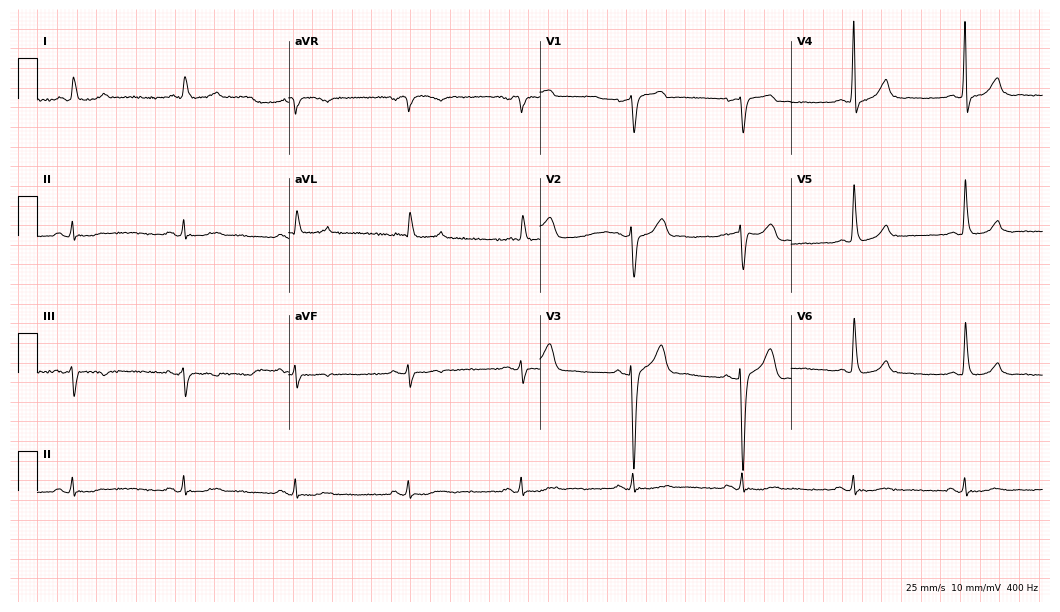
Electrocardiogram (10.2-second recording at 400 Hz), a 79-year-old male. Of the six screened findings (first-degree AV block, right bundle branch block, left bundle branch block, sinus bradycardia, atrial fibrillation, sinus tachycardia), none is recorded.